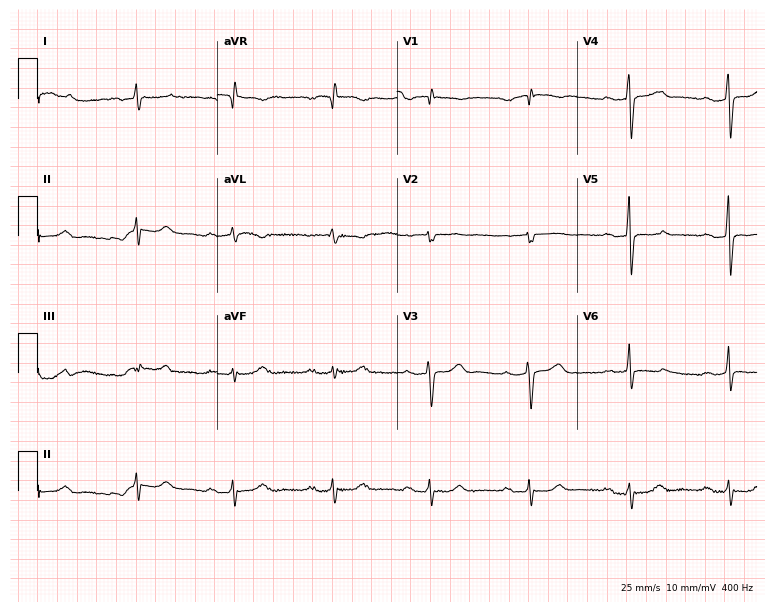
Resting 12-lead electrocardiogram. Patient: a 74-year-old male. The tracing shows first-degree AV block.